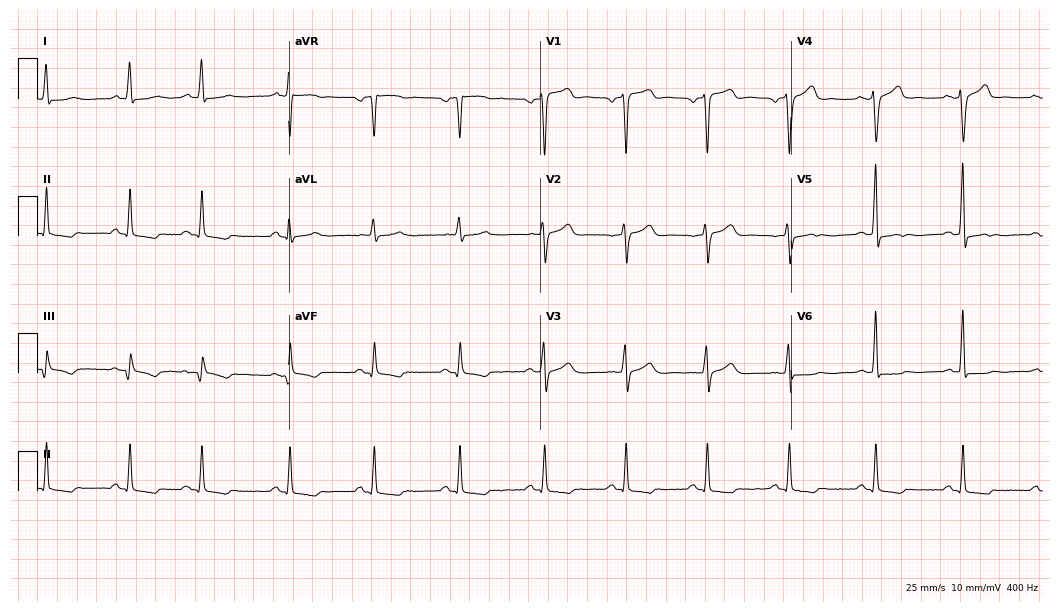
Standard 12-lead ECG recorded from a 64-year-old male (10.2-second recording at 400 Hz). None of these six findings is recorded: first-degree AV block, right bundle branch block (RBBB), left bundle branch block (LBBB), sinus bradycardia, atrial fibrillation (AF), sinus tachycardia. Other findings, if any, are not listed.